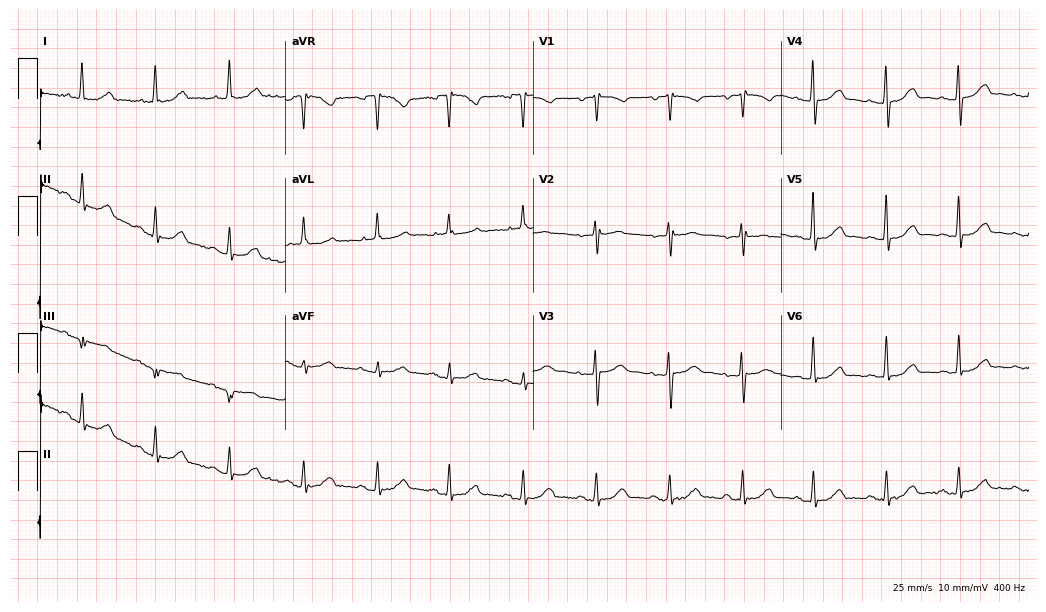
Resting 12-lead electrocardiogram (10.1-second recording at 400 Hz). Patient: a woman, 77 years old. Read as a normal ECG.